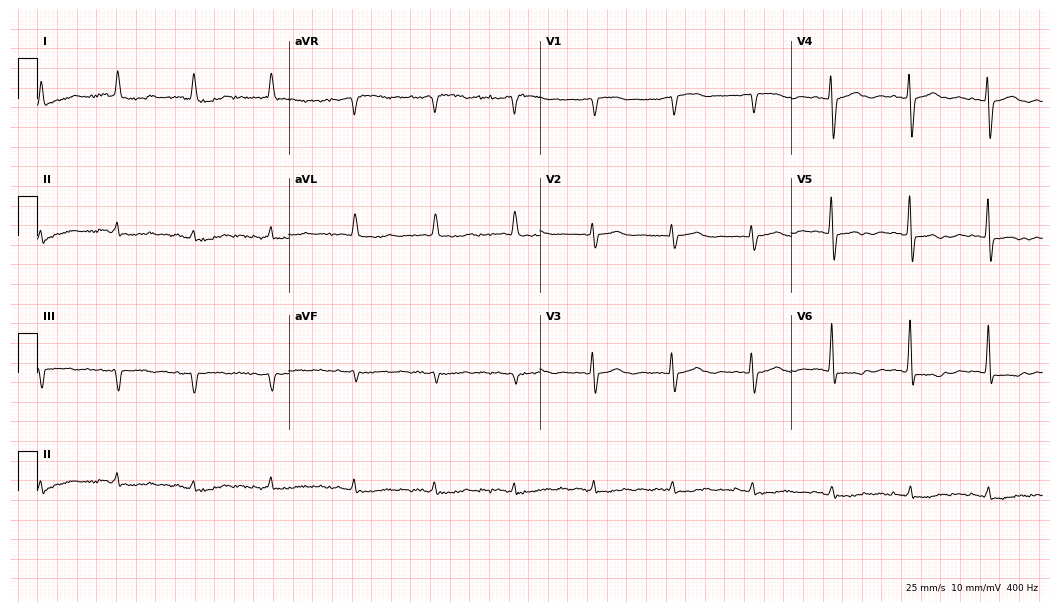
12-lead ECG from a woman, 85 years old. Screened for six findings — first-degree AV block, right bundle branch block, left bundle branch block, sinus bradycardia, atrial fibrillation, sinus tachycardia — none is recorded.